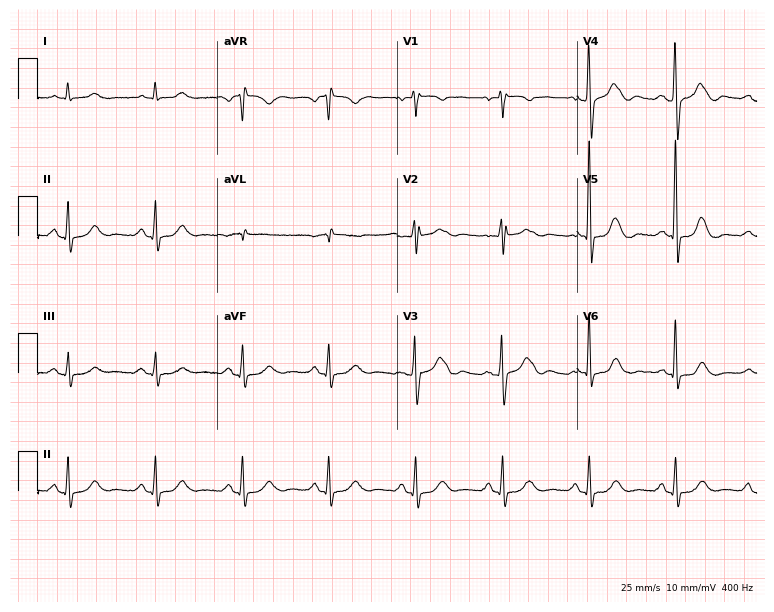
12-lead ECG from a man, 78 years old. No first-degree AV block, right bundle branch block, left bundle branch block, sinus bradycardia, atrial fibrillation or sinus tachycardia recorded for this tracing.